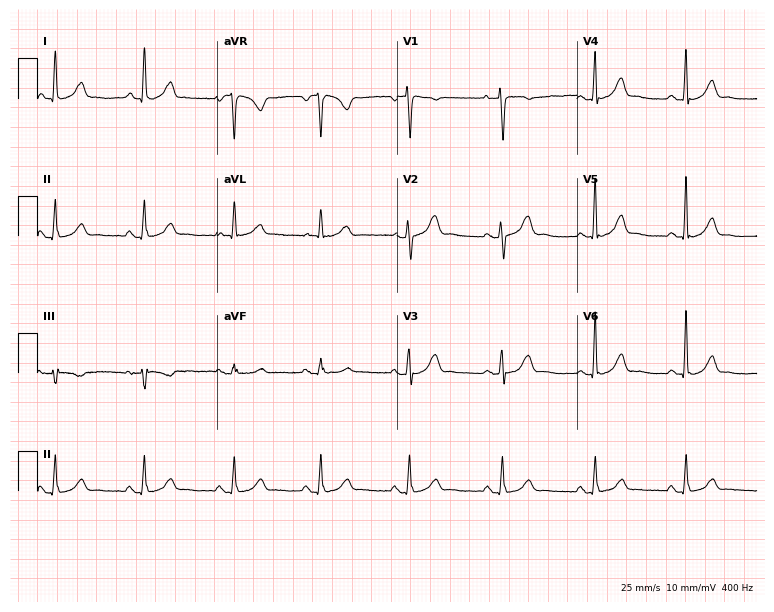
12-lead ECG from a female patient, 68 years old. Recorded interpretation: within normal limits.